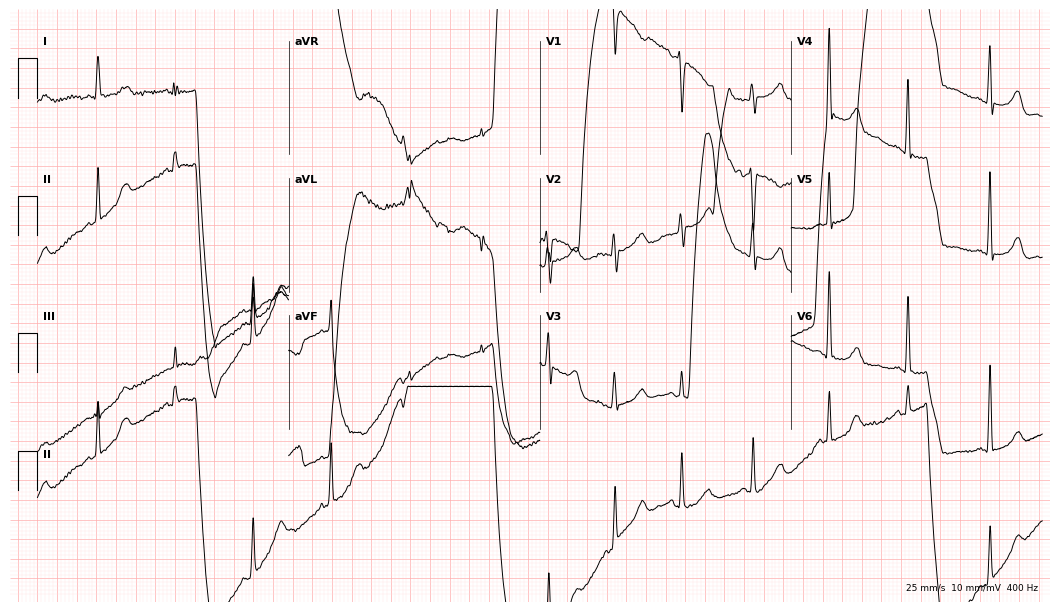
Electrocardiogram (10.2-second recording at 400 Hz), a female patient, 51 years old. Of the six screened findings (first-degree AV block, right bundle branch block (RBBB), left bundle branch block (LBBB), sinus bradycardia, atrial fibrillation (AF), sinus tachycardia), none is recorded.